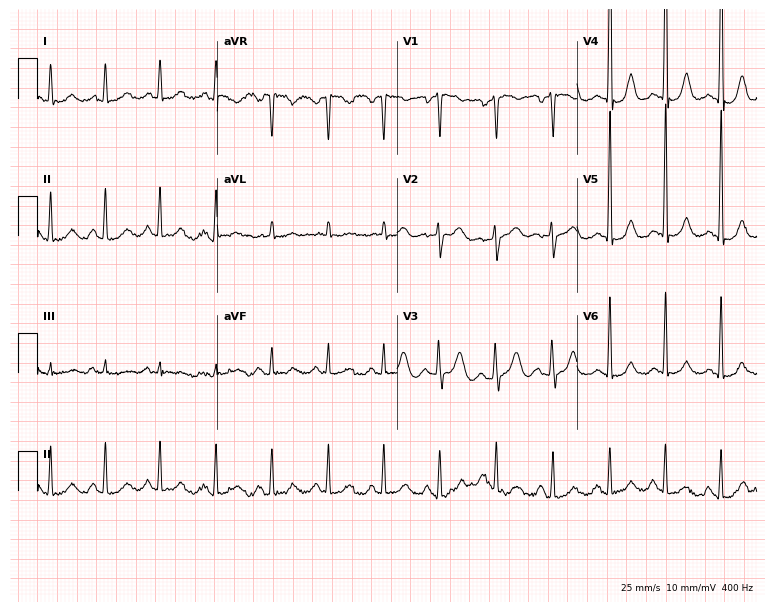
12-lead ECG from a 58-year-old female patient. Findings include sinus tachycardia (a sinus rate of 100 beats per minute or more).